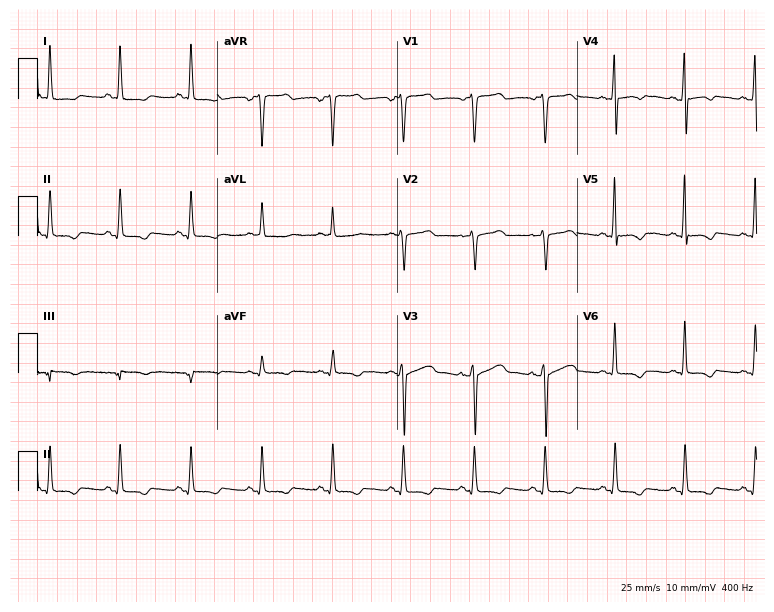
12-lead ECG from a female, 47 years old. No first-degree AV block, right bundle branch block, left bundle branch block, sinus bradycardia, atrial fibrillation or sinus tachycardia recorded for this tracing. Other findings, if any, are not listed.